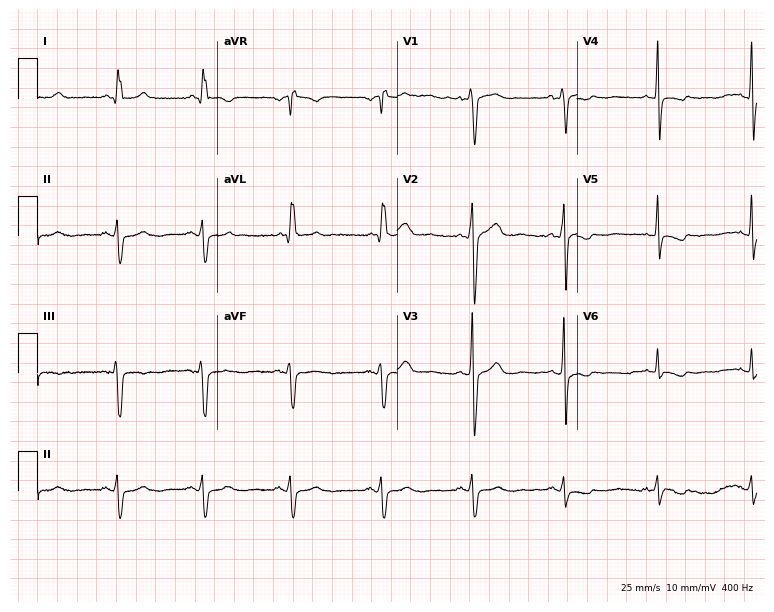
ECG (7.3-second recording at 400 Hz) — a 50-year-old man. Screened for six findings — first-degree AV block, right bundle branch block (RBBB), left bundle branch block (LBBB), sinus bradycardia, atrial fibrillation (AF), sinus tachycardia — none is recorded.